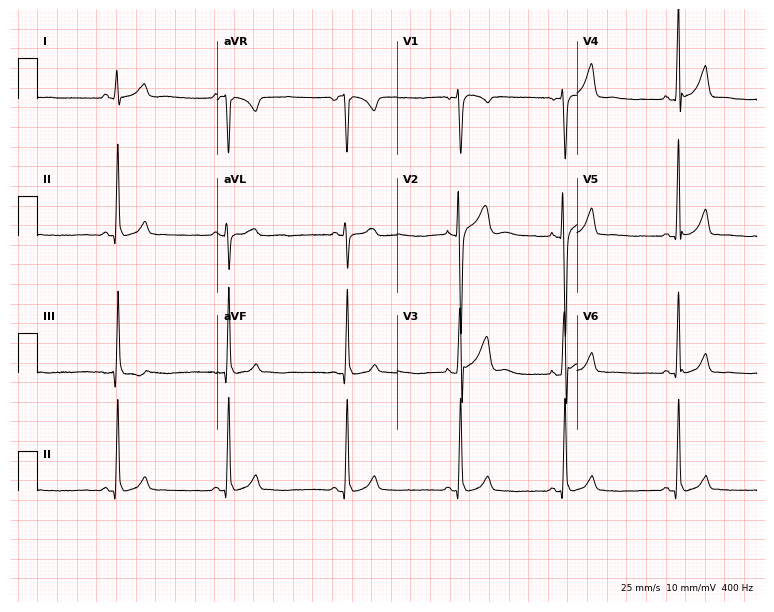
Electrocardiogram (7.3-second recording at 400 Hz), a man, 21 years old. Overall reading on record: normal ECG.